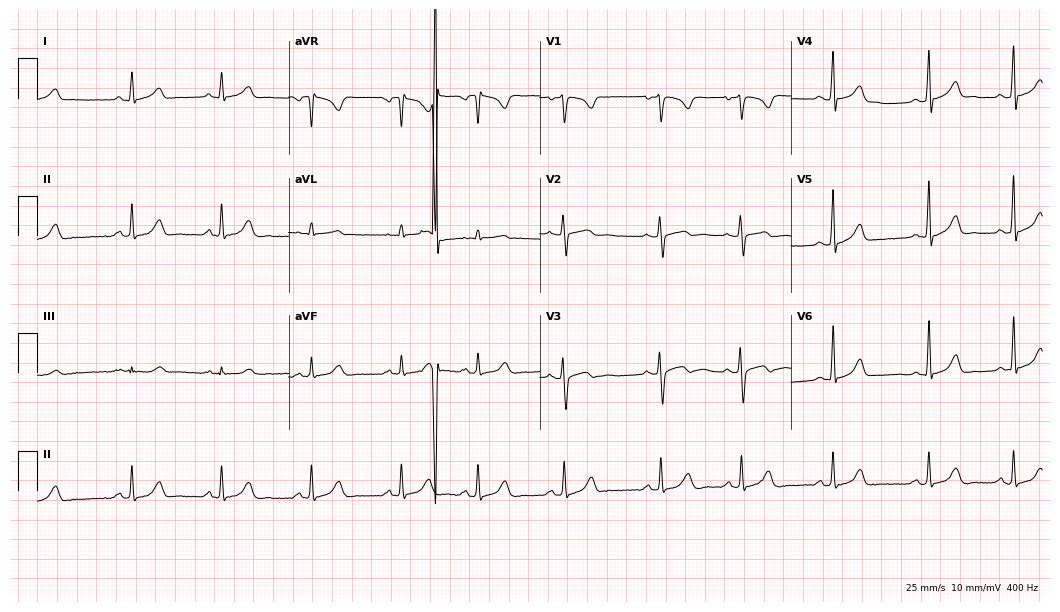
ECG (10.2-second recording at 400 Hz) — a 24-year-old female patient. Screened for six findings — first-degree AV block, right bundle branch block (RBBB), left bundle branch block (LBBB), sinus bradycardia, atrial fibrillation (AF), sinus tachycardia — none is recorded. Findings outside these six are not listed.